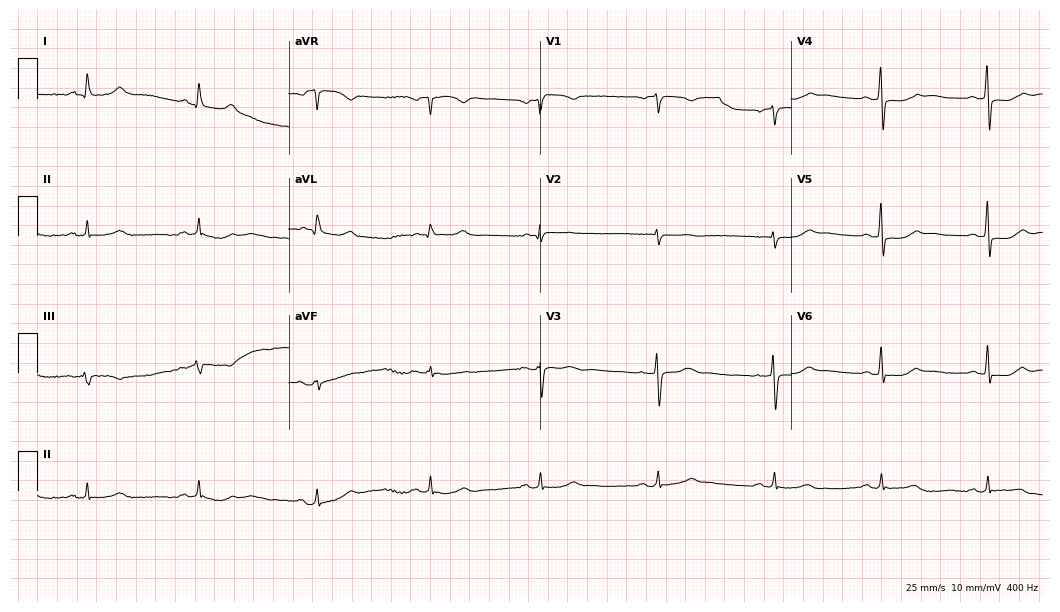
12-lead ECG (10.2-second recording at 400 Hz) from a 57-year-old female. Screened for six findings — first-degree AV block, right bundle branch block (RBBB), left bundle branch block (LBBB), sinus bradycardia, atrial fibrillation (AF), sinus tachycardia — none is recorded. Only these six findings were labelled.